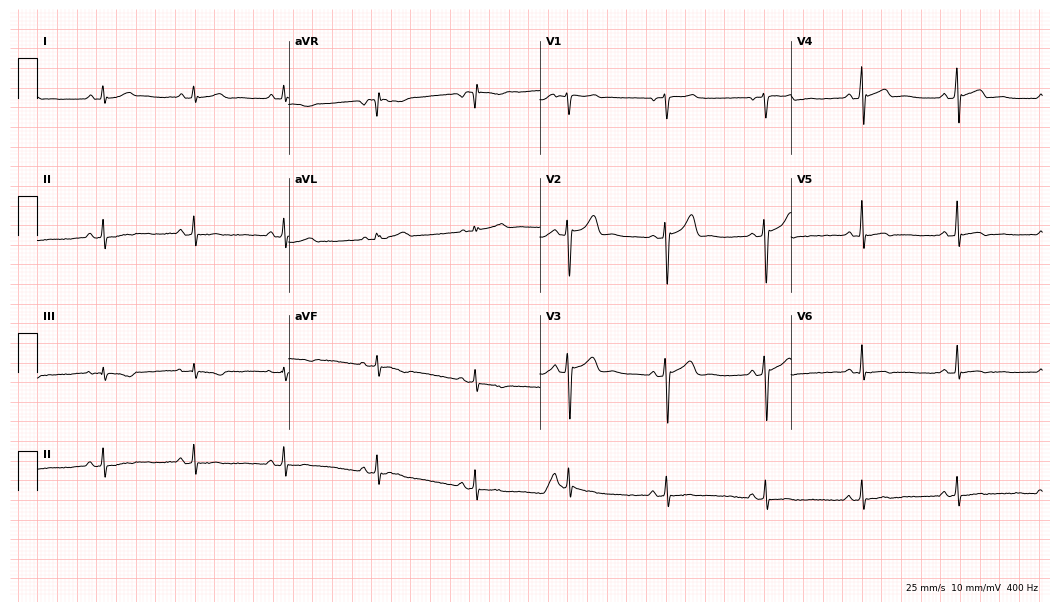
12-lead ECG (10.2-second recording at 400 Hz) from a male, 45 years old. Screened for six findings — first-degree AV block, right bundle branch block, left bundle branch block, sinus bradycardia, atrial fibrillation, sinus tachycardia — none is recorded. Findings outside these six are not listed.